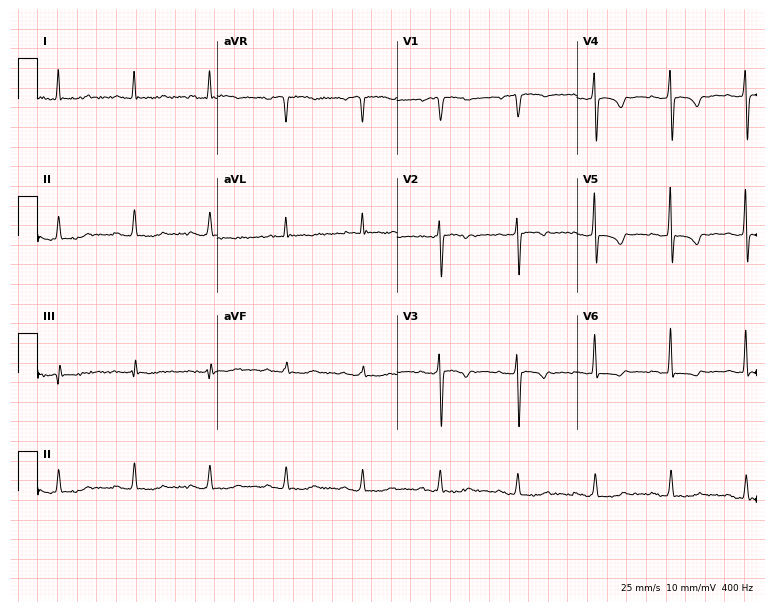
Electrocardiogram, a woman, 84 years old. Of the six screened findings (first-degree AV block, right bundle branch block (RBBB), left bundle branch block (LBBB), sinus bradycardia, atrial fibrillation (AF), sinus tachycardia), none is recorded.